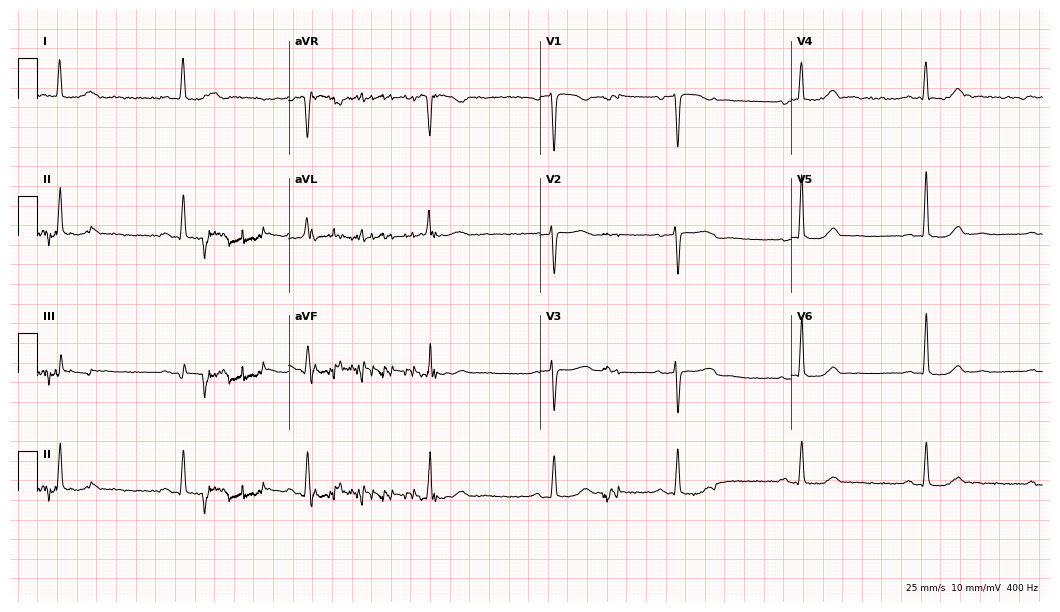
12-lead ECG (10.2-second recording at 400 Hz) from a woman, 67 years old. Findings include sinus bradycardia (a sinus rate of 50 beats per minute or less).